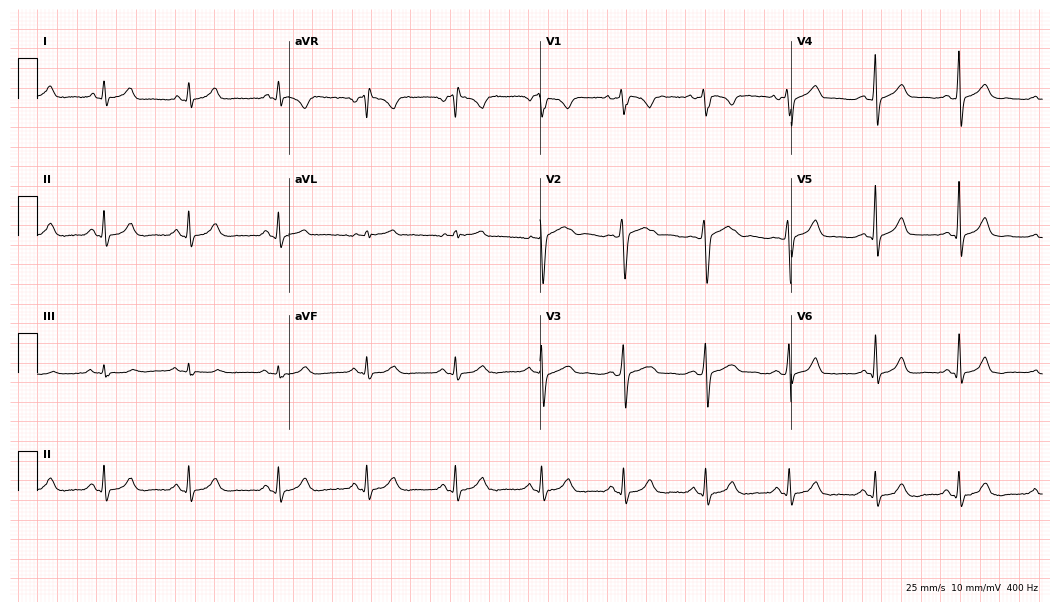
Resting 12-lead electrocardiogram. Patient: a 36-year-old male. Read as a normal ECG.